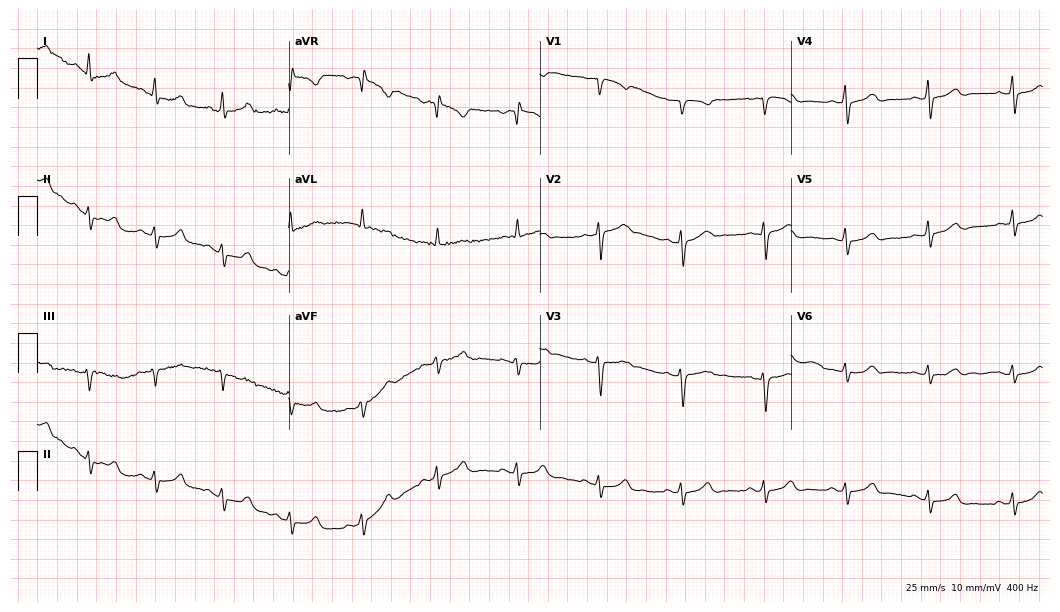
12-lead ECG from a 40-year-old woman (10.2-second recording at 400 Hz). No first-degree AV block, right bundle branch block, left bundle branch block, sinus bradycardia, atrial fibrillation or sinus tachycardia recorded for this tracing. Findings outside these six are not listed.